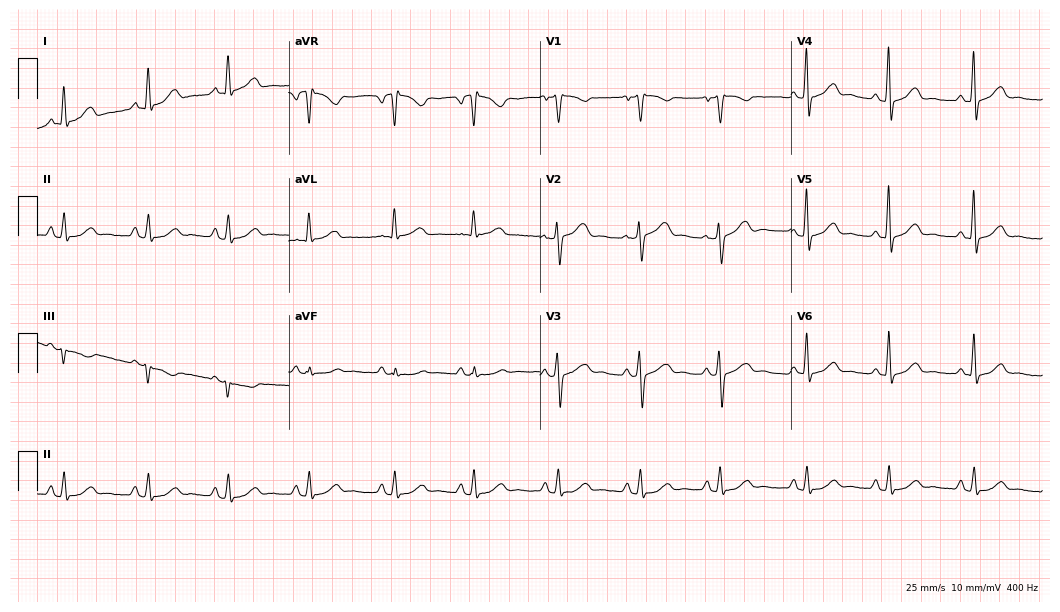
ECG (10.2-second recording at 400 Hz) — a woman, 44 years old. Labelled as a normal ECG.